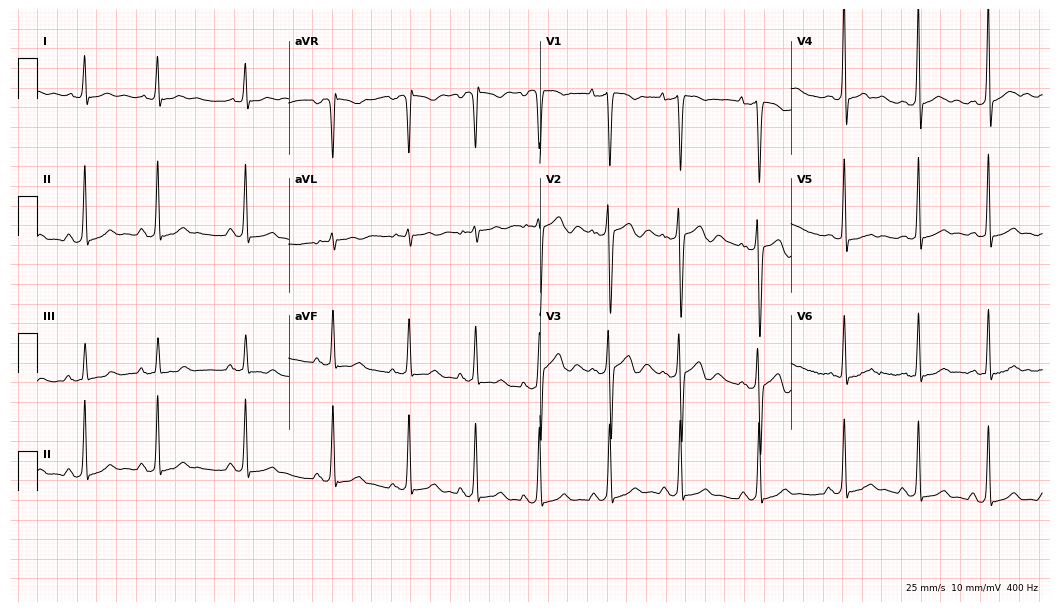
ECG (10.2-second recording at 400 Hz) — an 18-year-old man. Screened for six findings — first-degree AV block, right bundle branch block, left bundle branch block, sinus bradycardia, atrial fibrillation, sinus tachycardia — none is recorded.